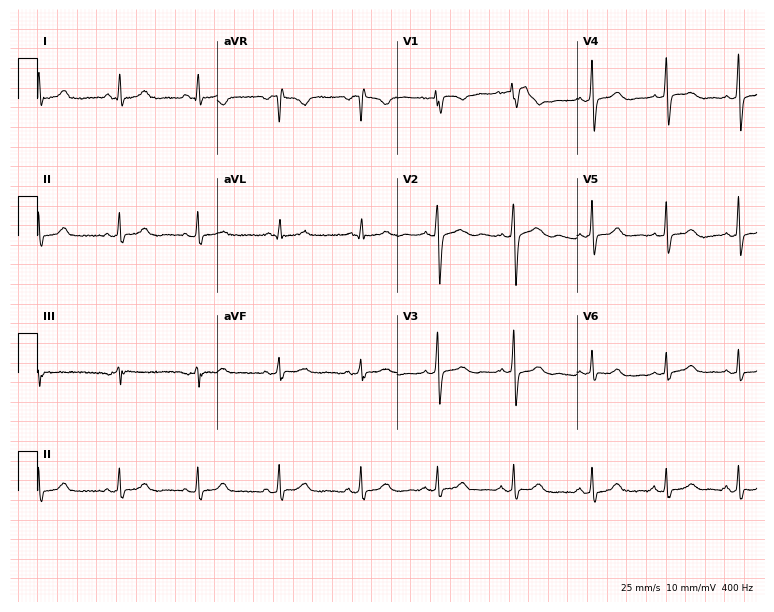
Electrocardiogram (7.3-second recording at 400 Hz), a female, 37 years old. Of the six screened findings (first-degree AV block, right bundle branch block, left bundle branch block, sinus bradycardia, atrial fibrillation, sinus tachycardia), none is recorded.